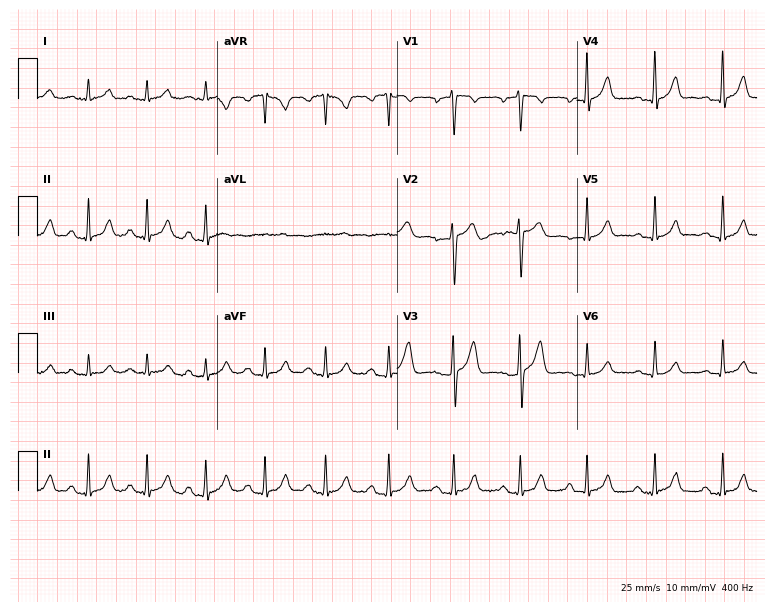
12-lead ECG from a 48-year-old male patient (7.3-second recording at 400 Hz). No first-degree AV block, right bundle branch block (RBBB), left bundle branch block (LBBB), sinus bradycardia, atrial fibrillation (AF) or sinus tachycardia recorded for this tracing.